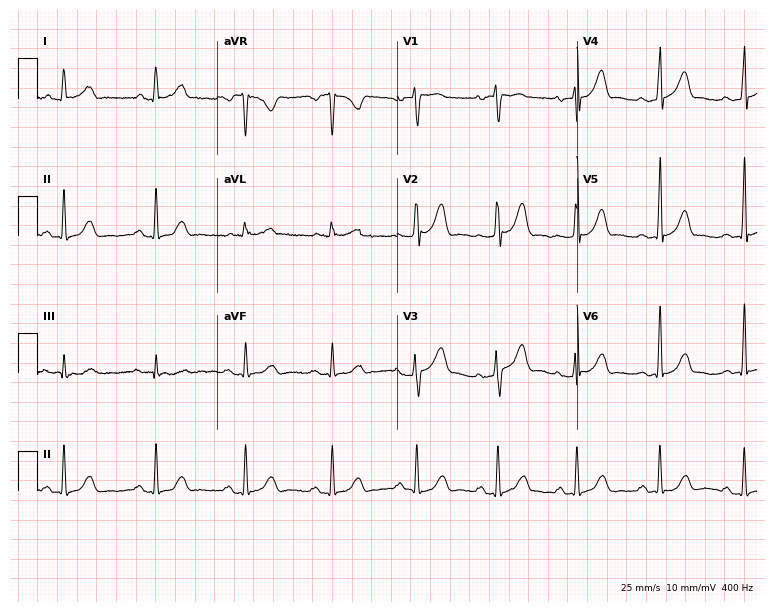
Electrocardiogram, a 59-year-old woman. Overall reading on record: normal ECG.